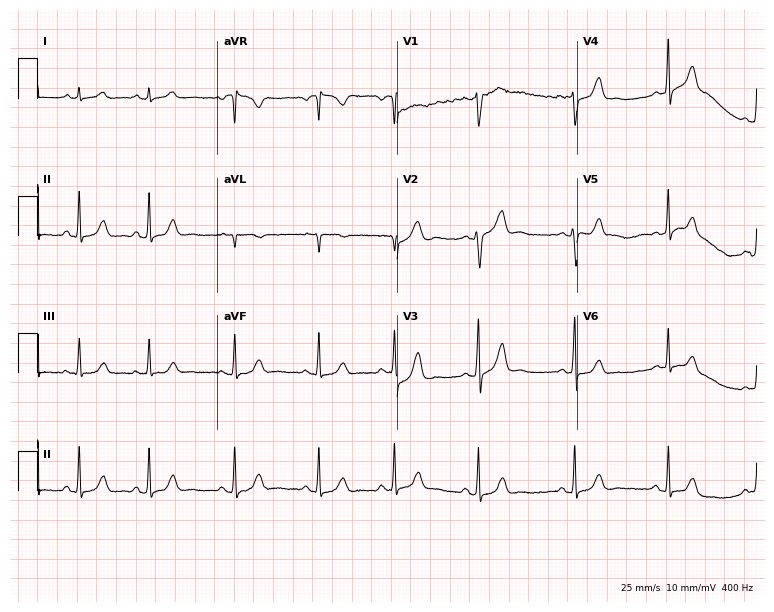
ECG — an 18-year-old female. Labelled as a normal ECG.